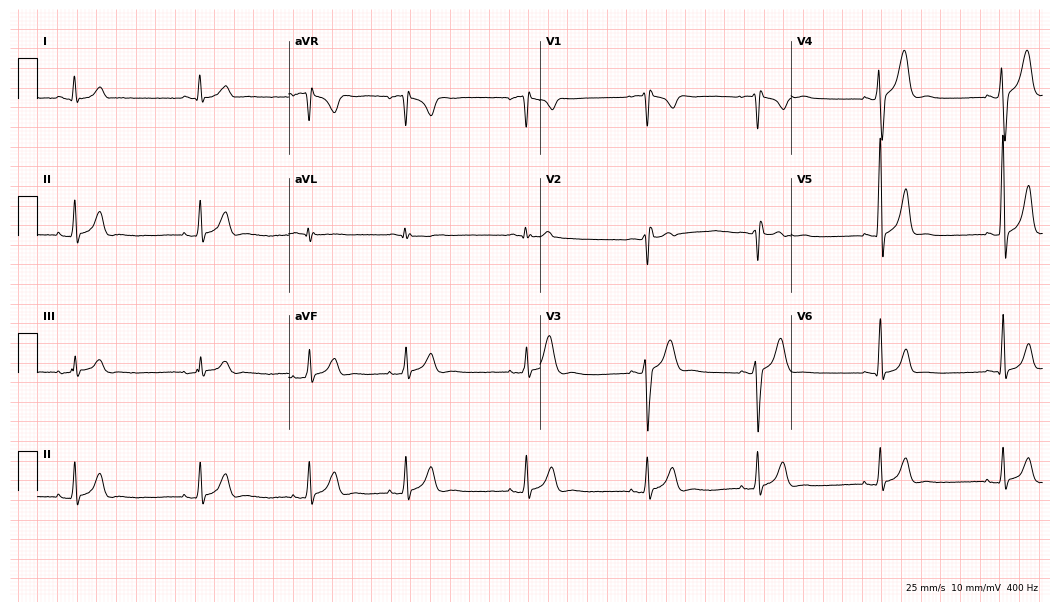
Standard 12-lead ECG recorded from a 27-year-old male. None of these six findings is recorded: first-degree AV block, right bundle branch block, left bundle branch block, sinus bradycardia, atrial fibrillation, sinus tachycardia. Findings outside these six are not listed.